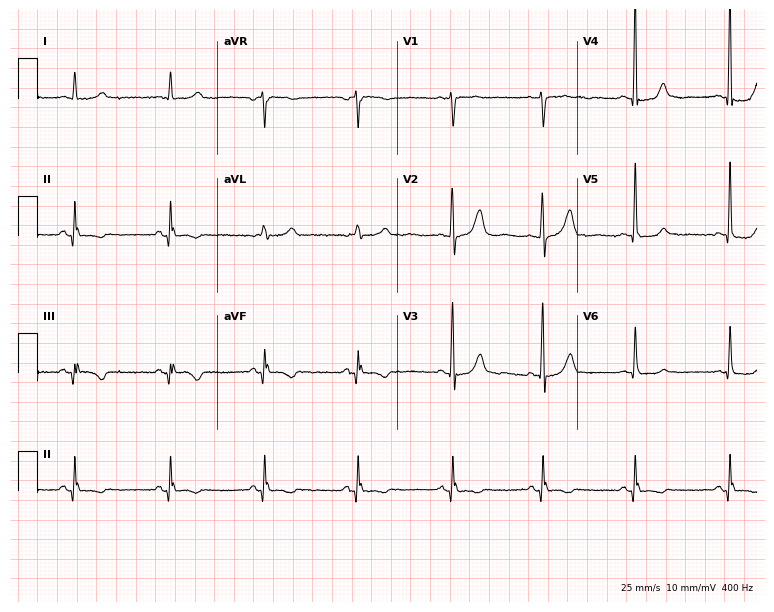
Resting 12-lead electrocardiogram (7.3-second recording at 400 Hz). Patient: a woman, 68 years old. Read as a normal ECG.